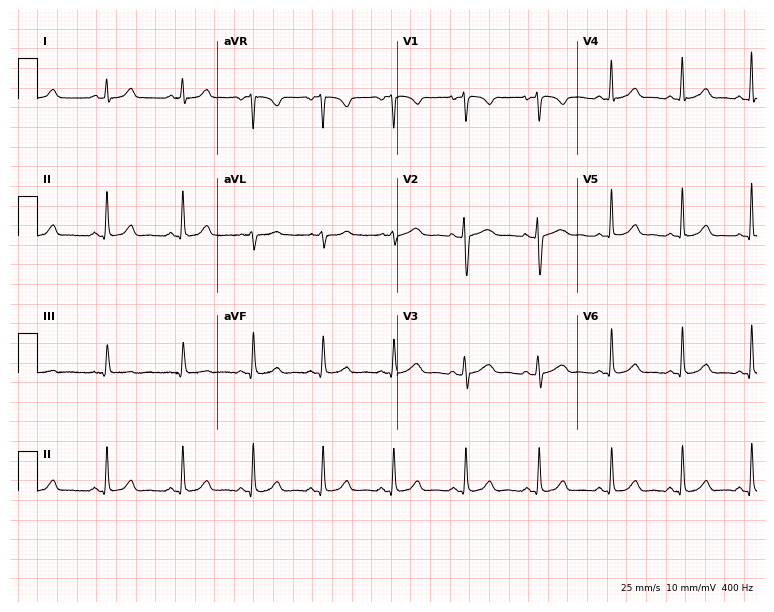
12-lead ECG from a female, 38 years old (7.3-second recording at 400 Hz). Recorded interpretation: within normal limits.